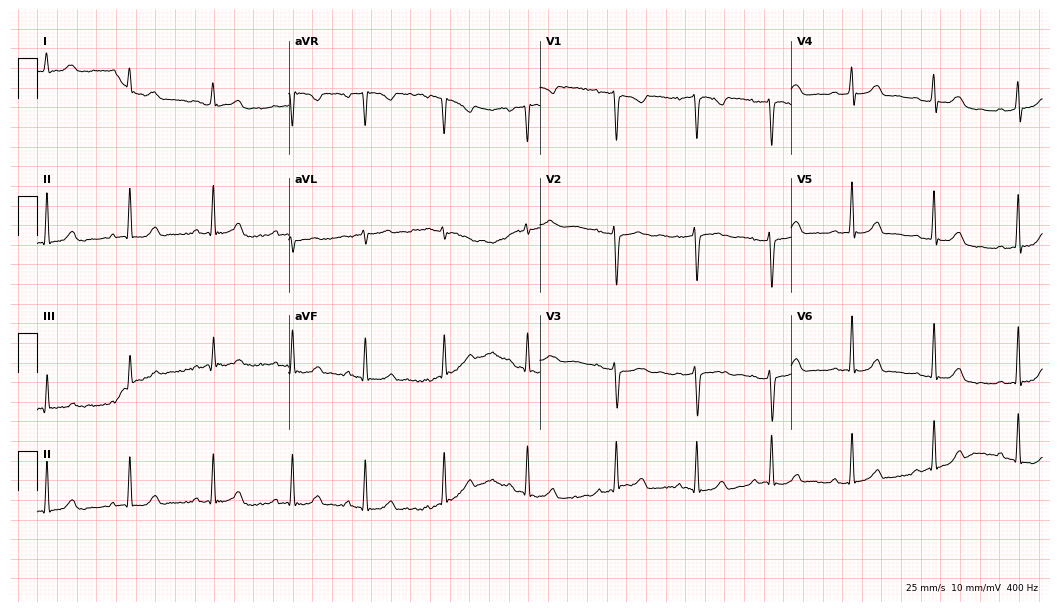
Resting 12-lead electrocardiogram. Patient: a female, 30 years old. Read as a normal ECG.